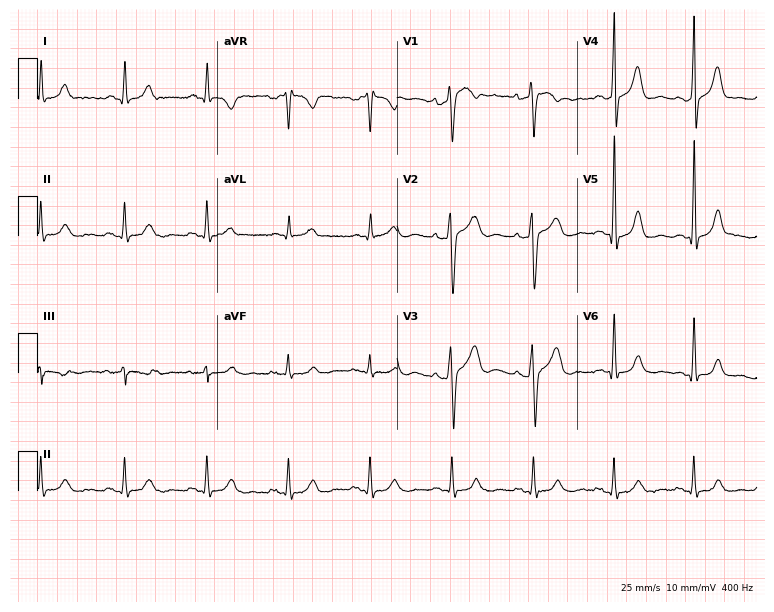
Resting 12-lead electrocardiogram (7.3-second recording at 400 Hz). Patient: a male, 61 years old. Read as a normal ECG.